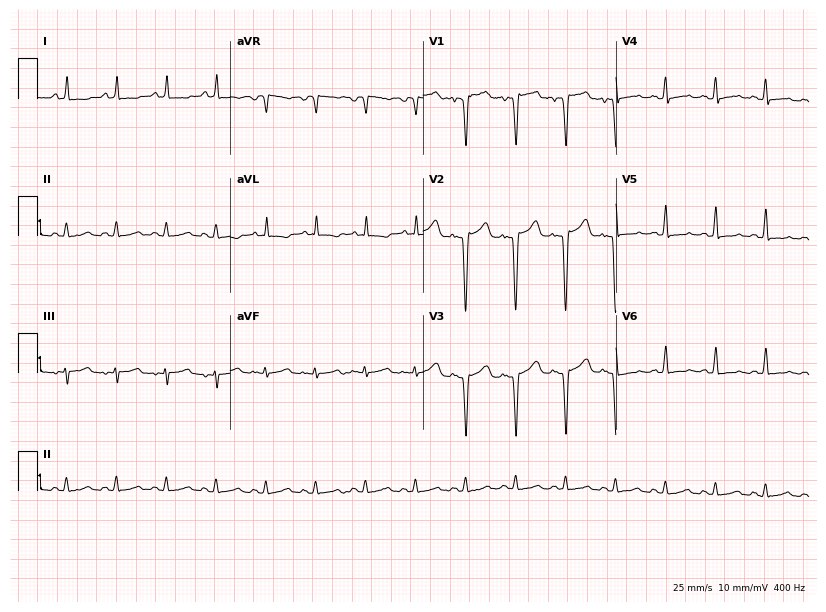
12-lead ECG (7.9-second recording at 400 Hz) from a woman, 39 years old. Findings include sinus tachycardia (a sinus rate of 100 beats per minute or more).